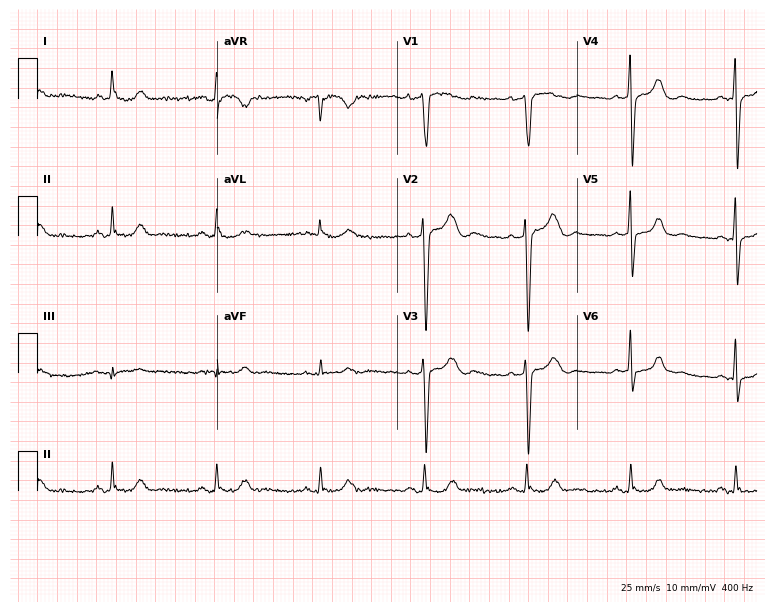
Standard 12-lead ECG recorded from a female patient, 70 years old. None of these six findings is recorded: first-degree AV block, right bundle branch block, left bundle branch block, sinus bradycardia, atrial fibrillation, sinus tachycardia. Only these six findings were labelled.